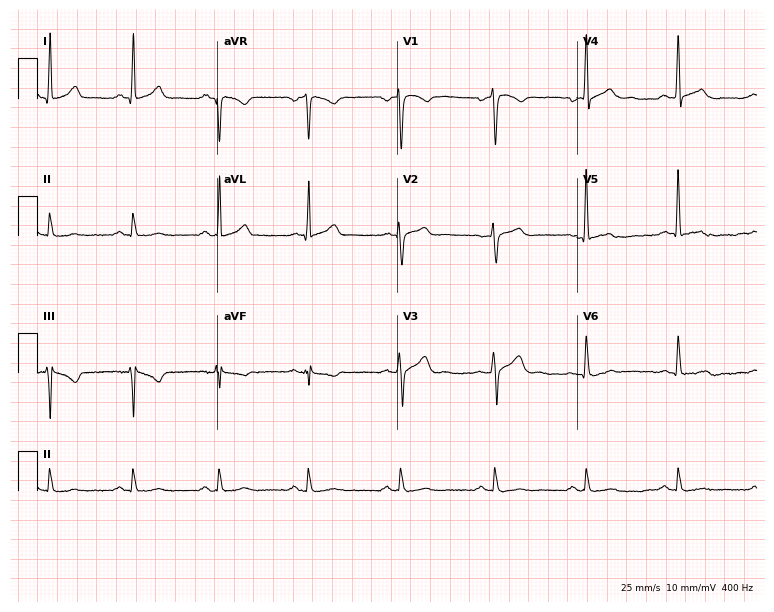
ECG — a man, 40 years old. Screened for six findings — first-degree AV block, right bundle branch block, left bundle branch block, sinus bradycardia, atrial fibrillation, sinus tachycardia — none is recorded.